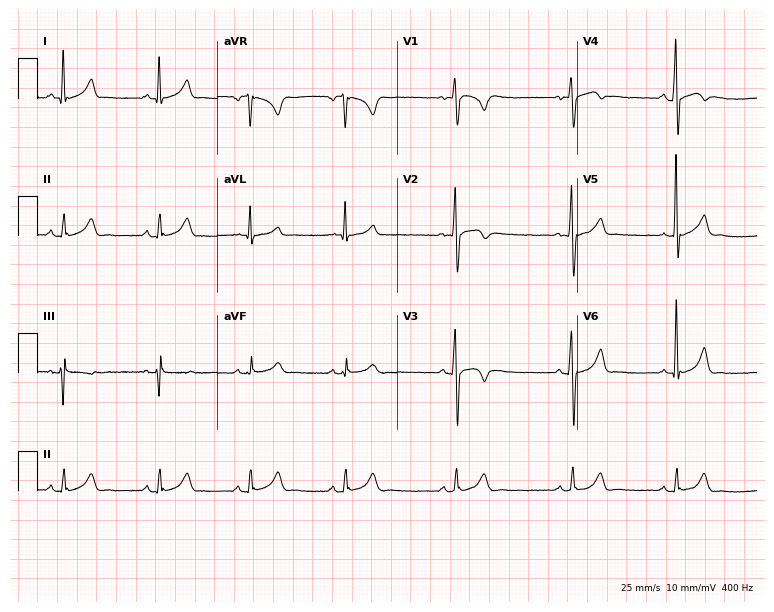
ECG — a 22-year-old man. Labelled as a normal ECG.